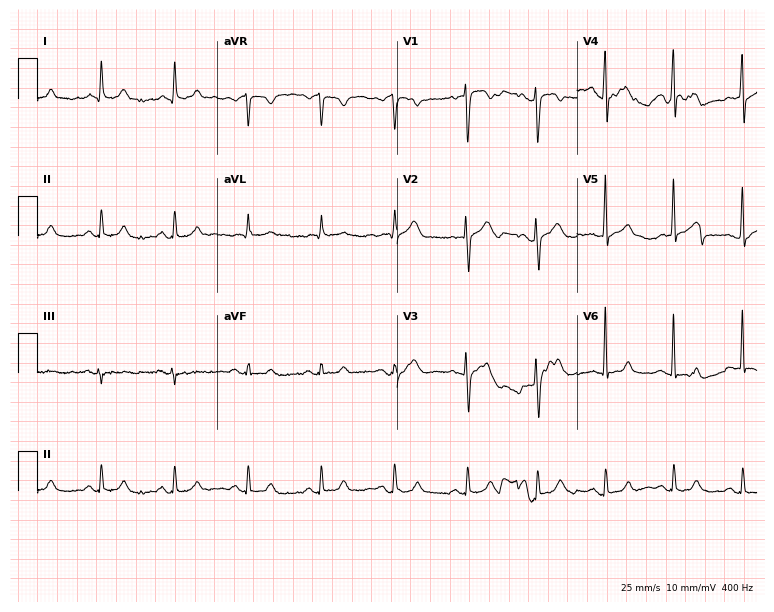
Standard 12-lead ECG recorded from a 53-year-old female patient. None of these six findings is recorded: first-degree AV block, right bundle branch block (RBBB), left bundle branch block (LBBB), sinus bradycardia, atrial fibrillation (AF), sinus tachycardia.